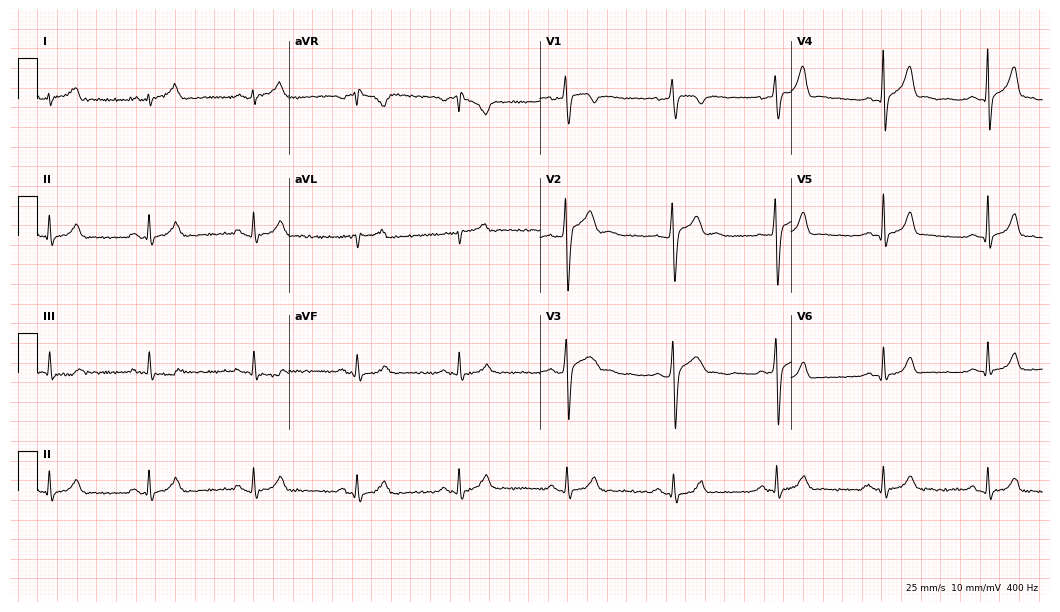
Electrocardiogram (10.2-second recording at 400 Hz), a male patient, 35 years old. Overall reading on record: normal ECG.